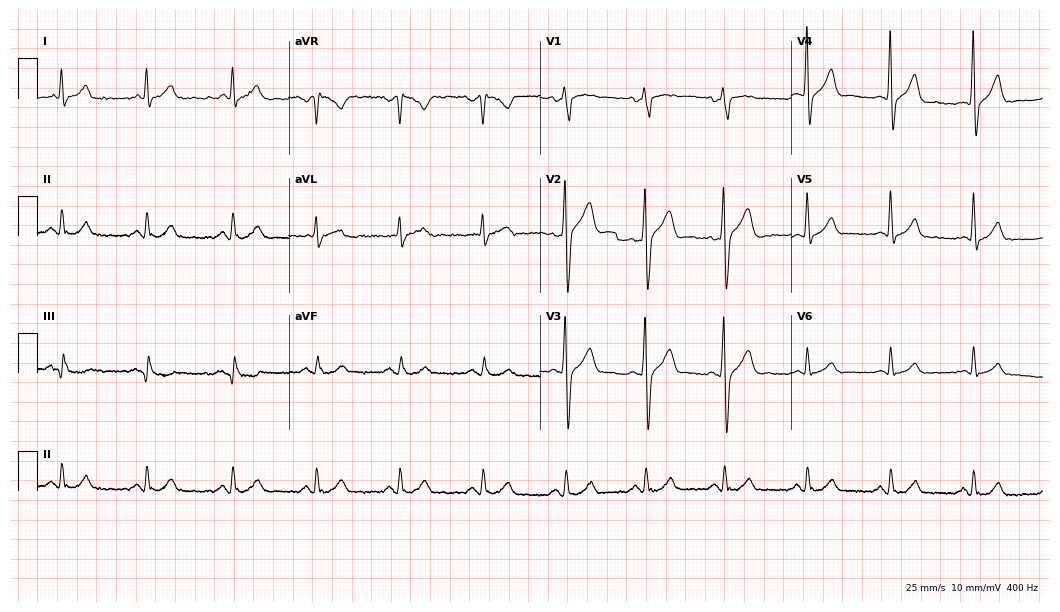
Standard 12-lead ECG recorded from a 60-year-old male (10.2-second recording at 400 Hz). None of these six findings is recorded: first-degree AV block, right bundle branch block, left bundle branch block, sinus bradycardia, atrial fibrillation, sinus tachycardia.